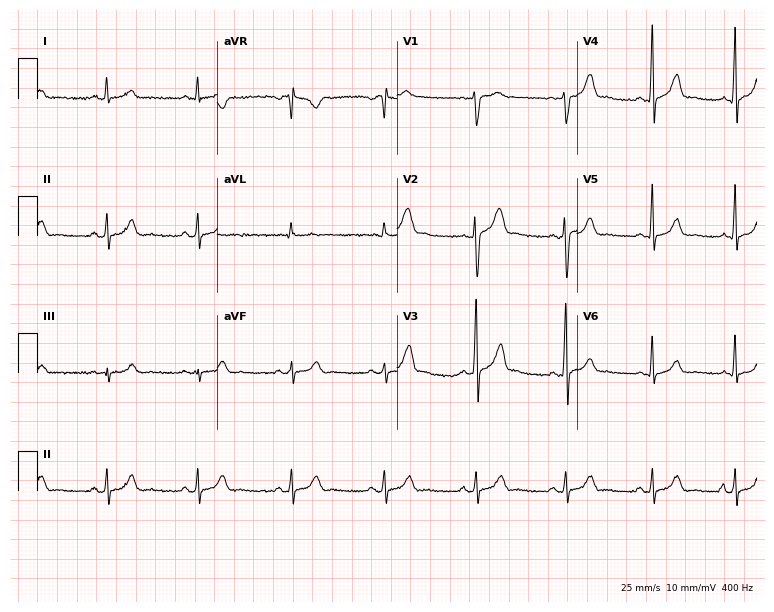
Standard 12-lead ECG recorded from a male patient, 24 years old (7.3-second recording at 400 Hz). Read as a normal ECG.